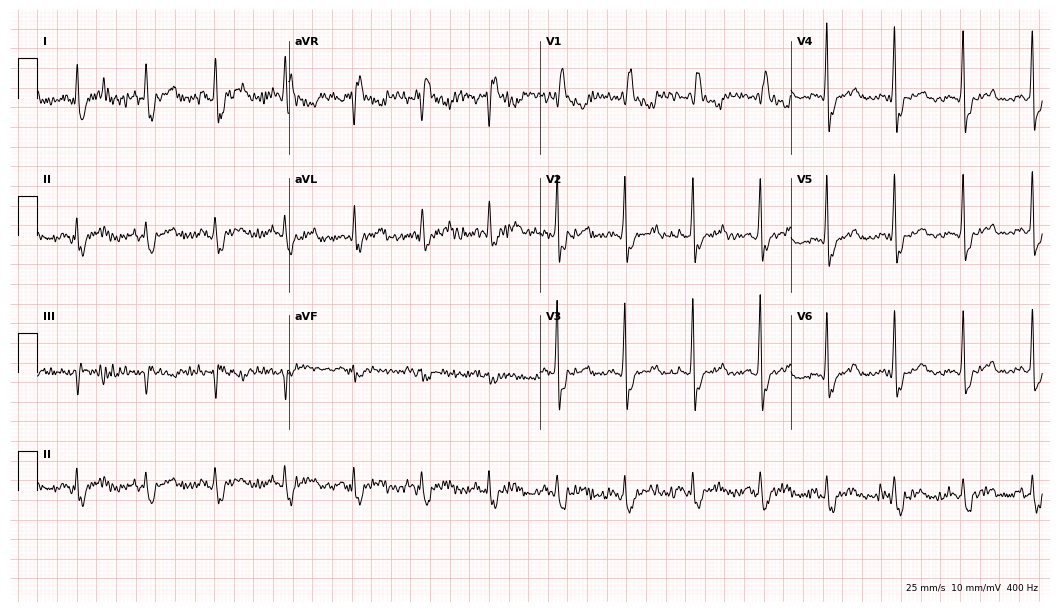
Standard 12-lead ECG recorded from a 64-year-old female (10.2-second recording at 400 Hz). None of these six findings is recorded: first-degree AV block, right bundle branch block, left bundle branch block, sinus bradycardia, atrial fibrillation, sinus tachycardia.